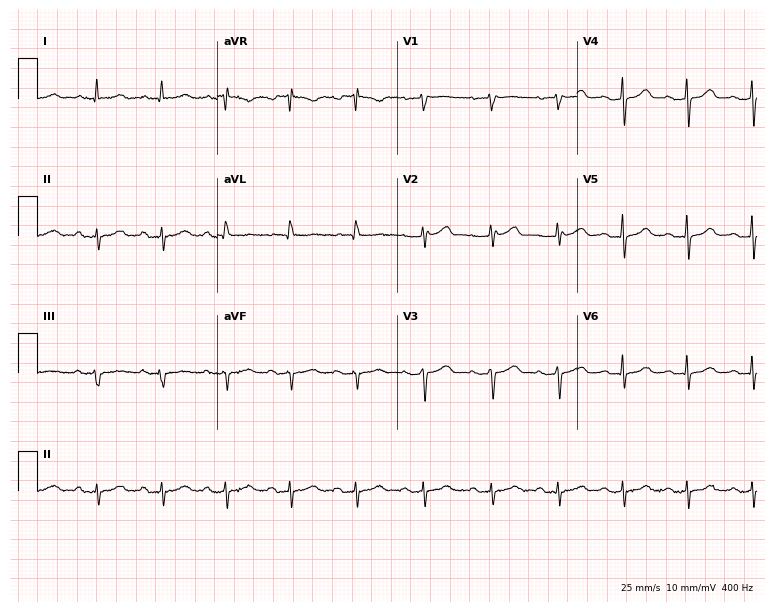
12-lead ECG from a 71-year-old woman. Screened for six findings — first-degree AV block, right bundle branch block, left bundle branch block, sinus bradycardia, atrial fibrillation, sinus tachycardia — none is recorded. Other findings, if any, are not listed.